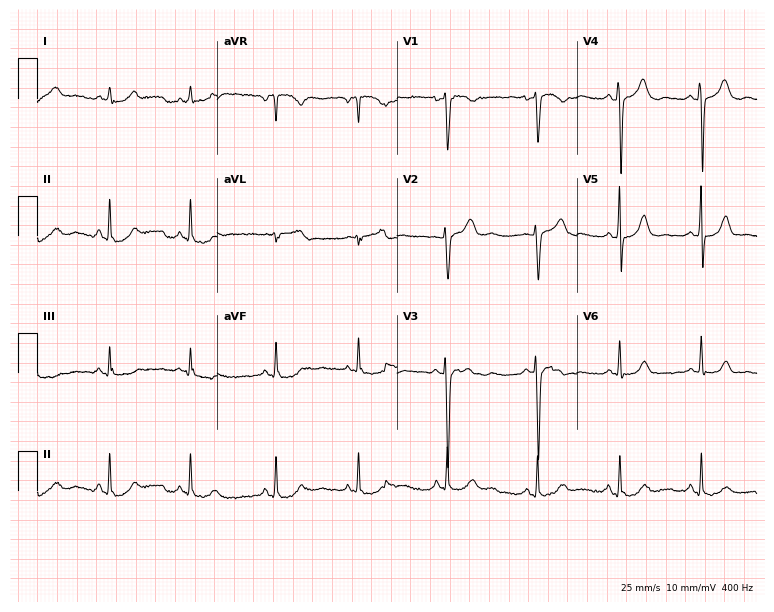
12-lead ECG from a female, 38 years old. Labelled as a normal ECG.